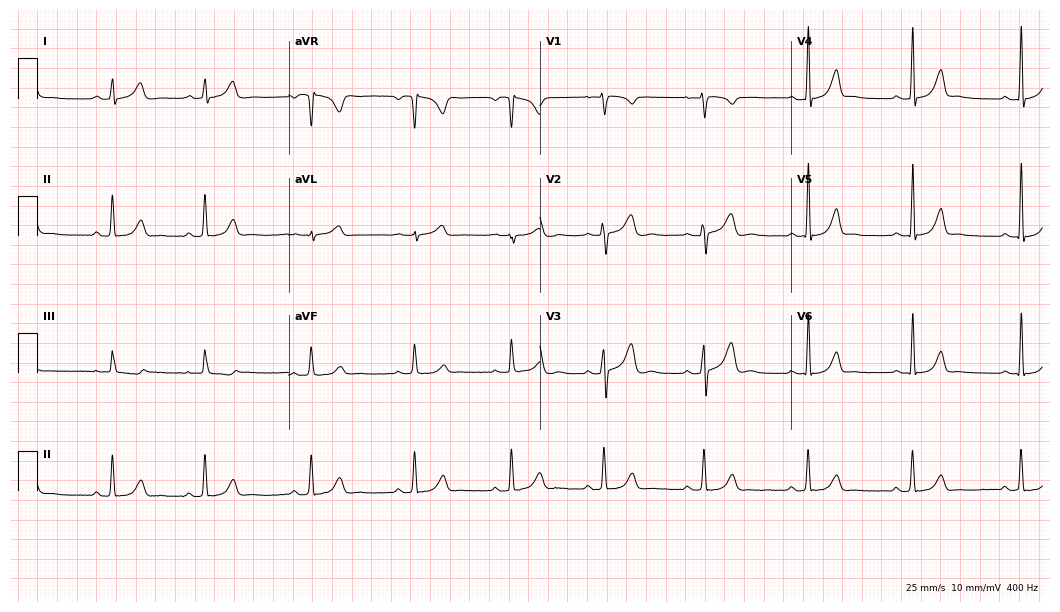
ECG (10.2-second recording at 400 Hz) — a female, 26 years old. Labelled as a normal ECG.